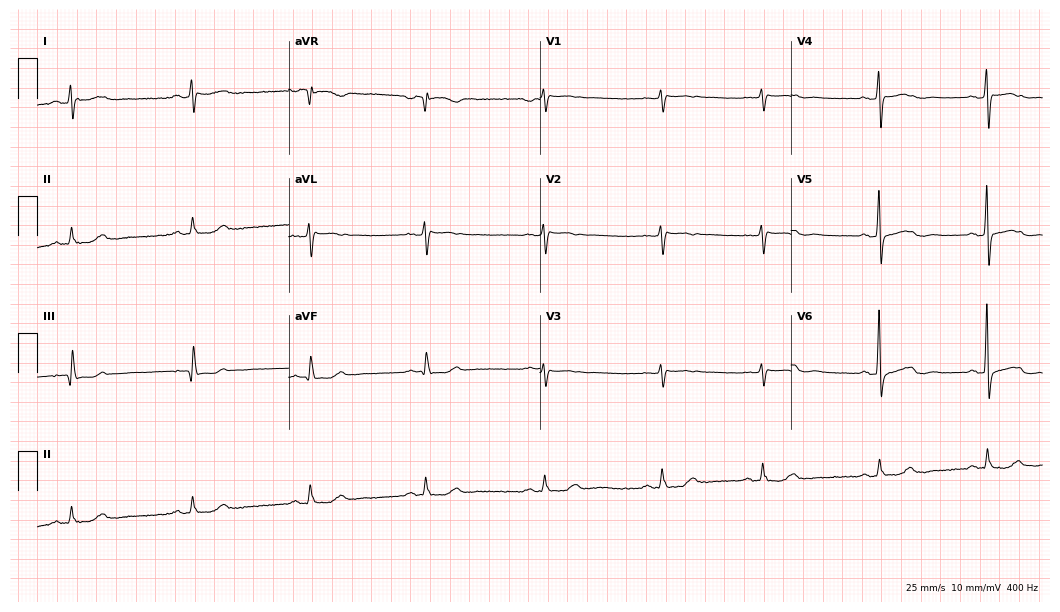
ECG — a female patient, 72 years old. Screened for six findings — first-degree AV block, right bundle branch block, left bundle branch block, sinus bradycardia, atrial fibrillation, sinus tachycardia — none is recorded. Findings outside these six are not listed.